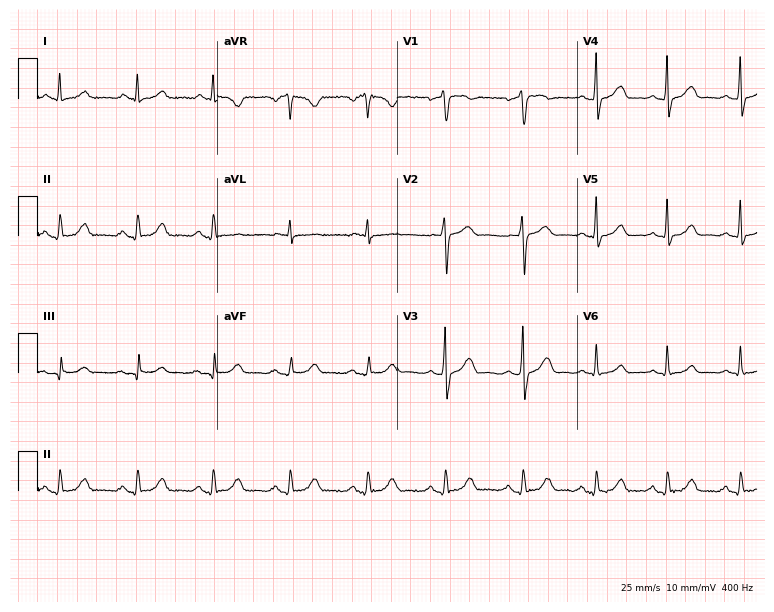
ECG — a 42-year-old man. Labelled as a normal ECG.